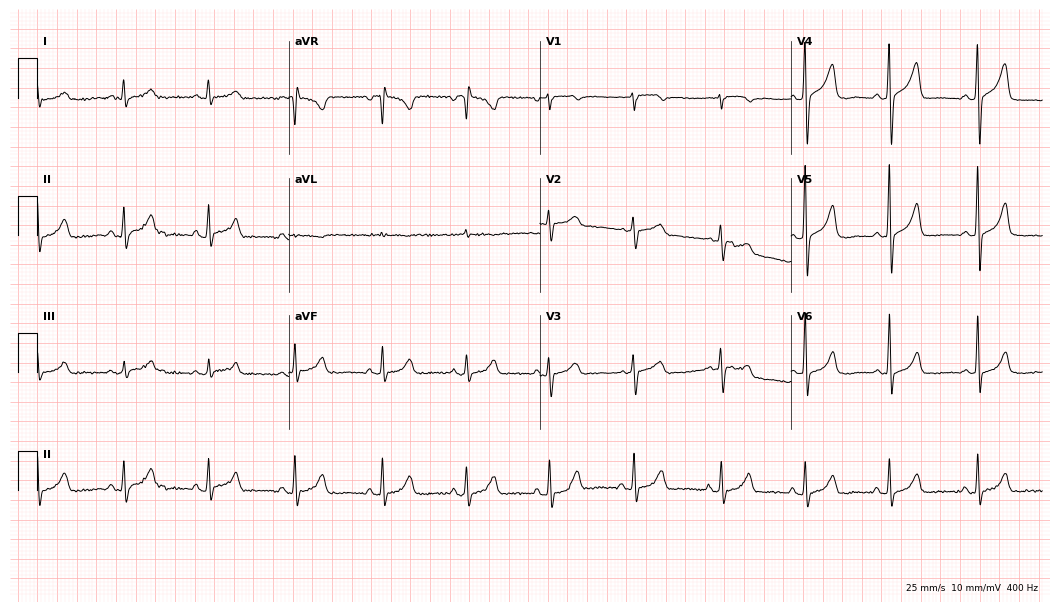
Resting 12-lead electrocardiogram. Patient: a male, 65 years old. None of these six findings is recorded: first-degree AV block, right bundle branch block, left bundle branch block, sinus bradycardia, atrial fibrillation, sinus tachycardia.